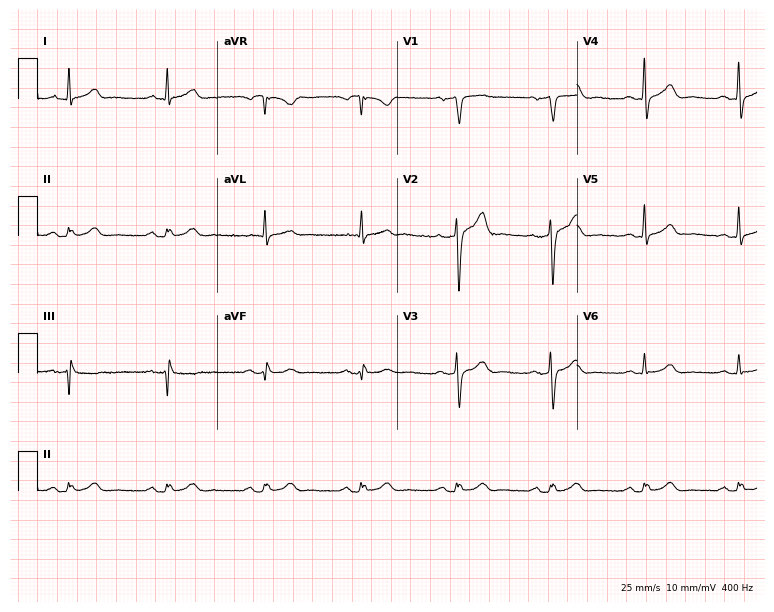
ECG (7.3-second recording at 400 Hz) — a 67-year-old male patient. Labelled as a normal ECG.